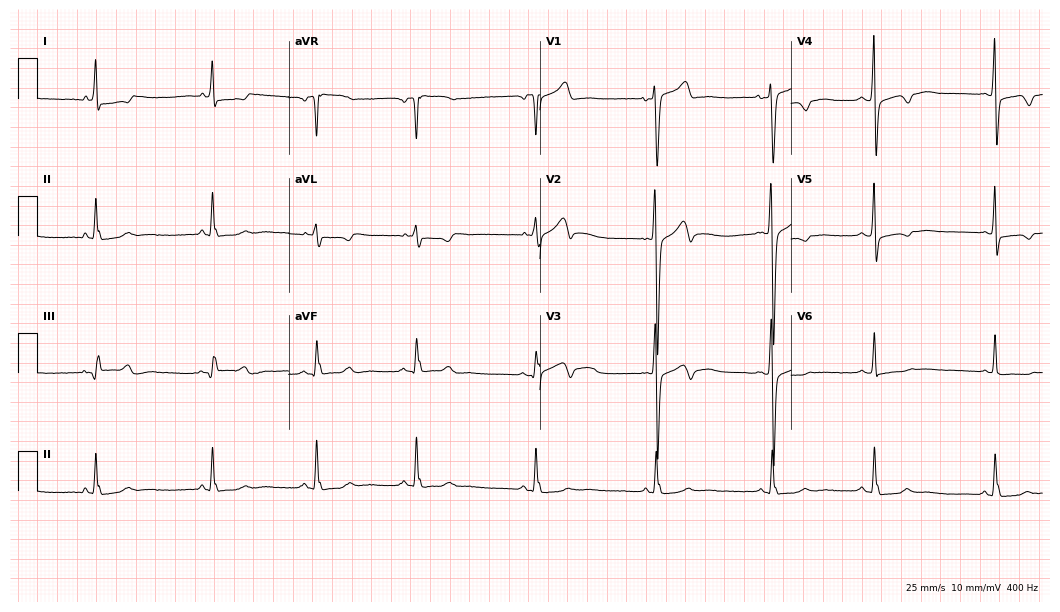
12-lead ECG (10.2-second recording at 400 Hz) from a female, 27 years old. Screened for six findings — first-degree AV block, right bundle branch block, left bundle branch block, sinus bradycardia, atrial fibrillation, sinus tachycardia — none is recorded. Only these six findings were labelled.